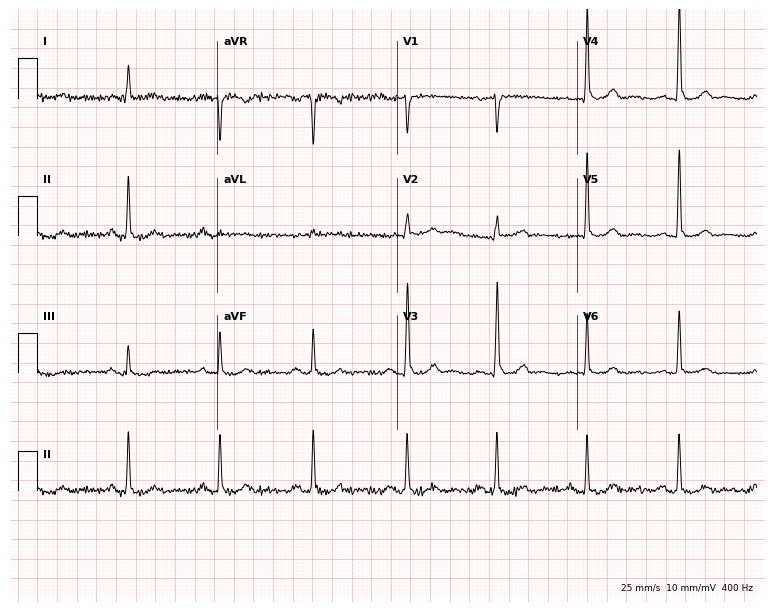
Standard 12-lead ECG recorded from a man, 71 years old (7.3-second recording at 400 Hz). Read as a normal ECG.